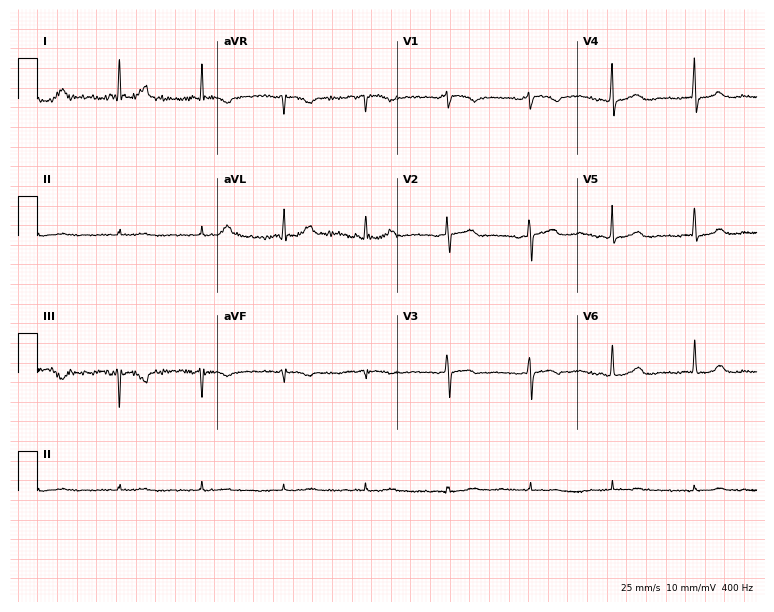
12-lead ECG from a female patient, 58 years old. No first-degree AV block, right bundle branch block, left bundle branch block, sinus bradycardia, atrial fibrillation or sinus tachycardia recorded for this tracing.